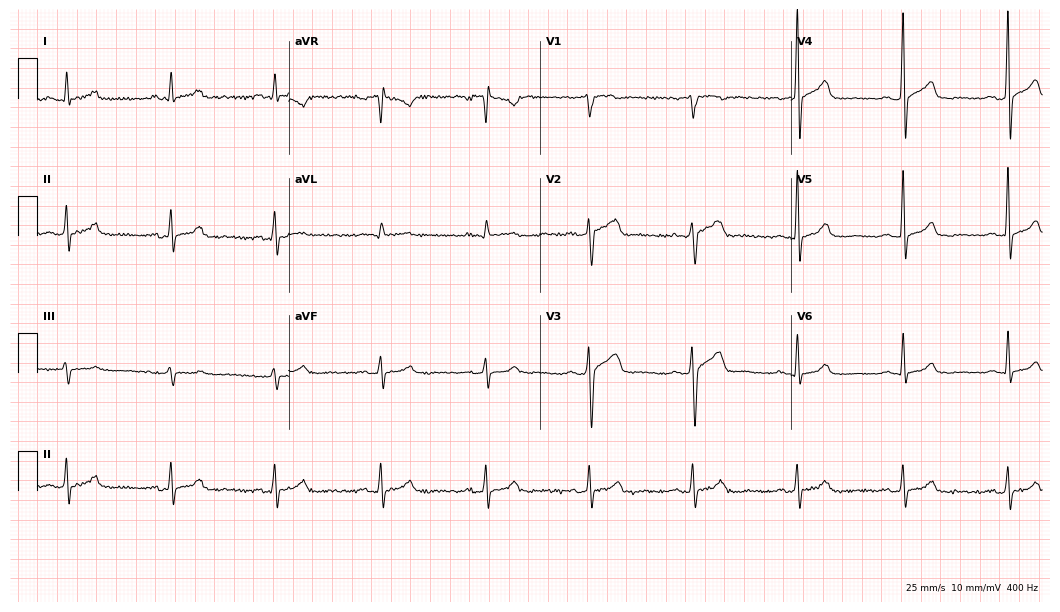
12-lead ECG from a 61-year-old man (10.2-second recording at 400 Hz). No first-degree AV block, right bundle branch block, left bundle branch block, sinus bradycardia, atrial fibrillation or sinus tachycardia recorded for this tracing.